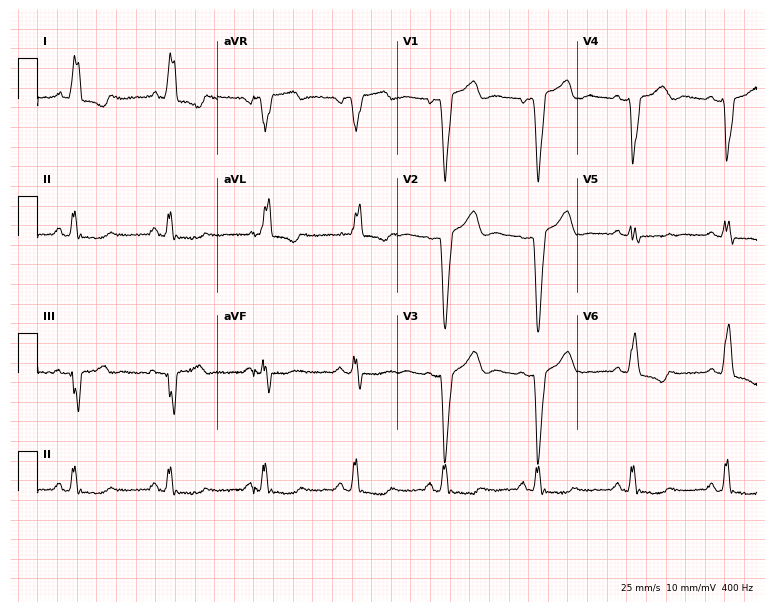
Standard 12-lead ECG recorded from a 65-year-old female (7.3-second recording at 400 Hz). The tracing shows left bundle branch block.